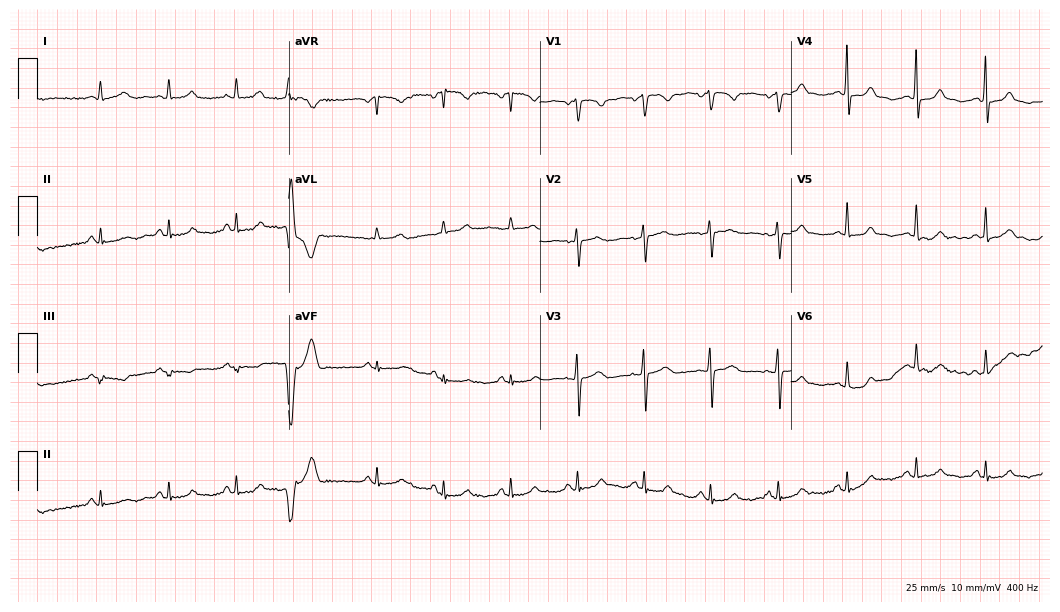
12-lead ECG from a 54-year-old woman (10.2-second recording at 400 Hz). No first-degree AV block, right bundle branch block, left bundle branch block, sinus bradycardia, atrial fibrillation or sinus tachycardia recorded for this tracing.